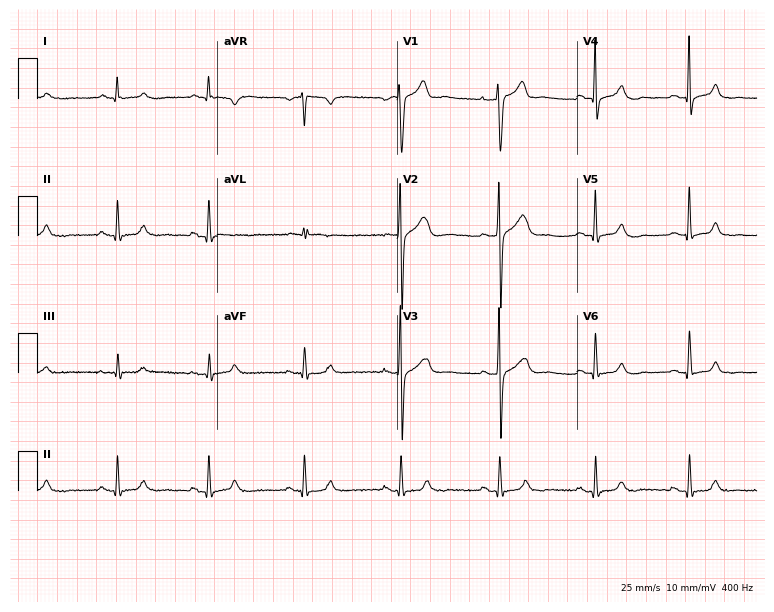
Resting 12-lead electrocardiogram (7.3-second recording at 400 Hz). Patient: a male, 44 years old. None of these six findings is recorded: first-degree AV block, right bundle branch block (RBBB), left bundle branch block (LBBB), sinus bradycardia, atrial fibrillation (AF), sinus tachycardia.